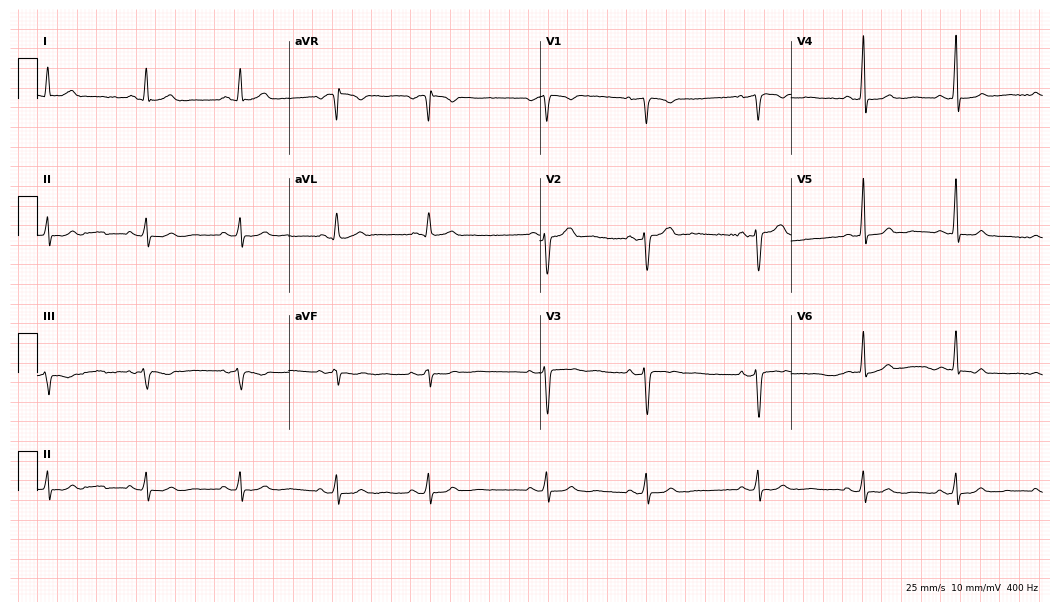
Resting 12-lead electrocardiogram (10.2-second recording at 400 Hz). Patient: a 58-year-old woman. None of these six findings is recorded: first-degree AV block, right bundle branch block (RBBB), left bundle branch block (LBBB), sinus bradycardia, atrial fibrillation (AF), sinus tachycardia. Findings outside these six are not listed.